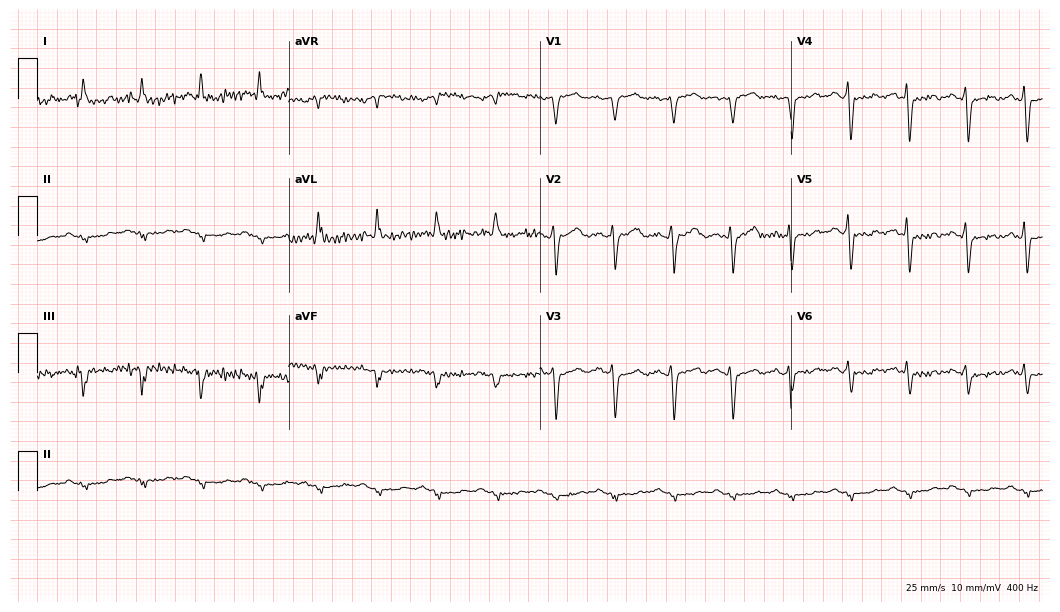
12-lead ECG (10.2-second recording at 400 Hz) from a 69-year-old man. Screened for six findings — first-degree AV block, right bundle branch block, left bundle branch block, sinus bradycardia, atrial fibrillation, sinus tachycardia — none is recorded. Findings outside these six are not listed.